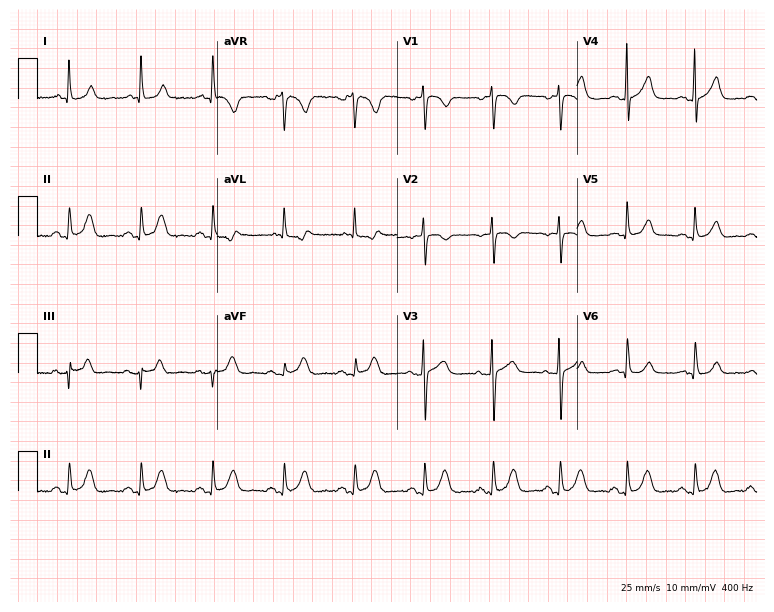
12-lead ECG from an 86-year-old woman. Labelled as a normal ECG.